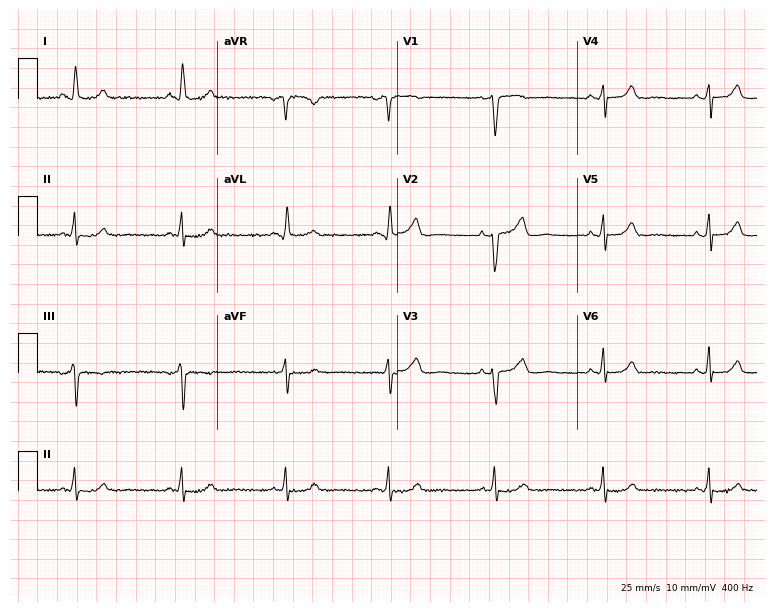
Resting 12-lead electrocardiogram. Patient: a woman, 47 years old. Read as a normal ECG.